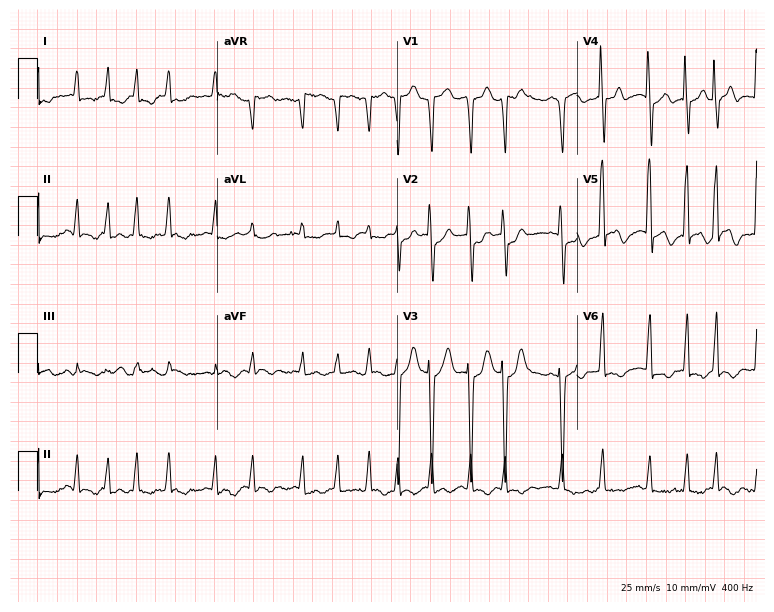
Electrocardiogram, a female, 79 years old. Interpretation includes atrial fibrillation.